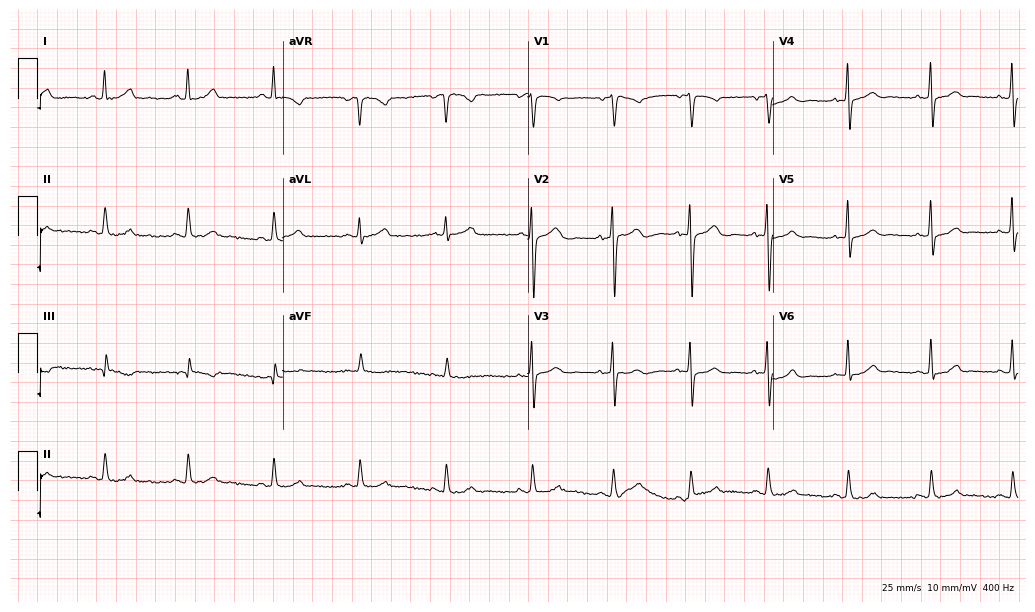
12-lead ECG from a 49-year-old female. Recorded interpretation: within normal limits.